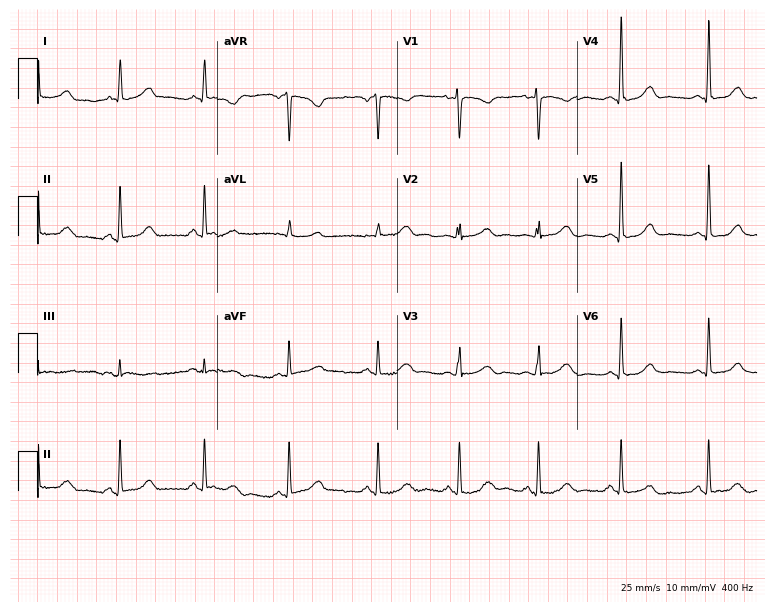
12-lead ECG from a 48-year-old female patient. Labelled as a normal ECG.